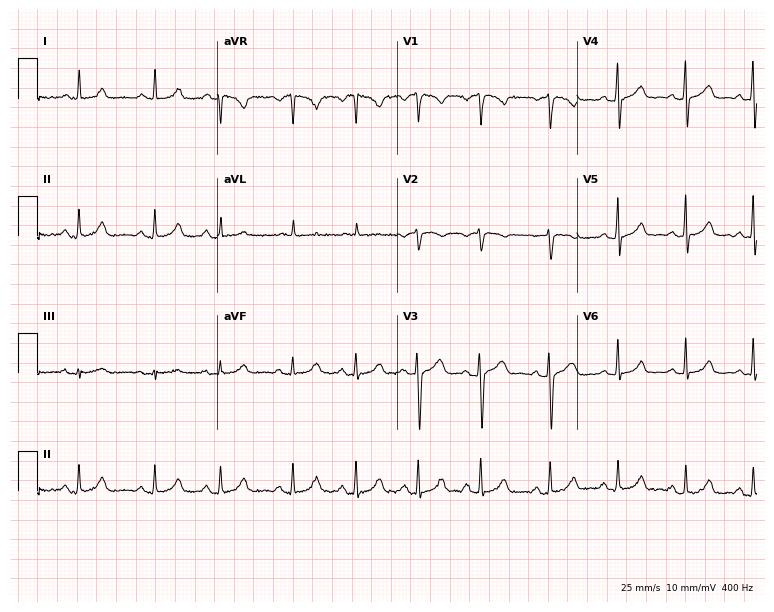
Electrocardiogram (7.3-second recording at 400 Hz), a 35-year-old female patient. Overall reading on record: normal ECG.